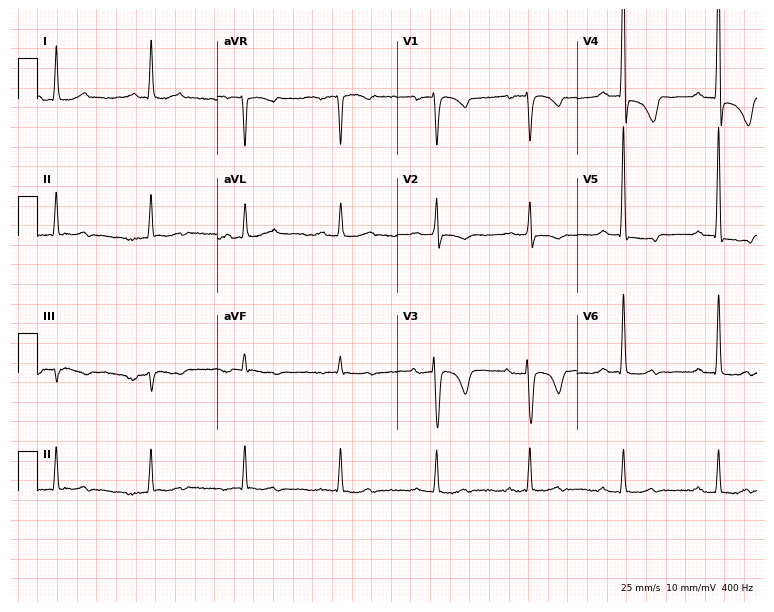
12-lead ECG (7.3-second recording at 400 Hz) from a female patient, 77 years old. Screened for six findings — first-degree AV block, right bundle branch block, left bundle branch block, sinus bradycardia, atrial fibrillation, sinus tachycardia — none is recorded. Other findings, if any, are not listed.